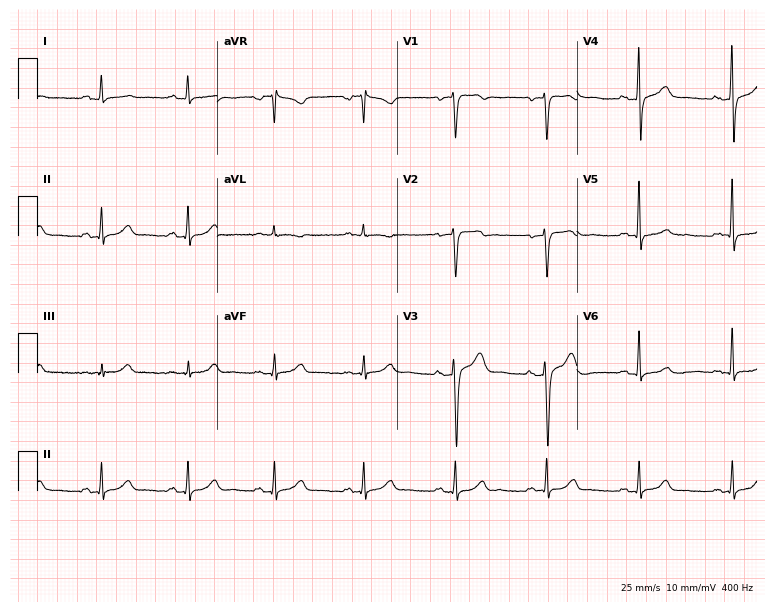
12-lead ECG (7.3-second recording at 400 Hz) from a man, 51 years old. Labelled as a normal ECG.